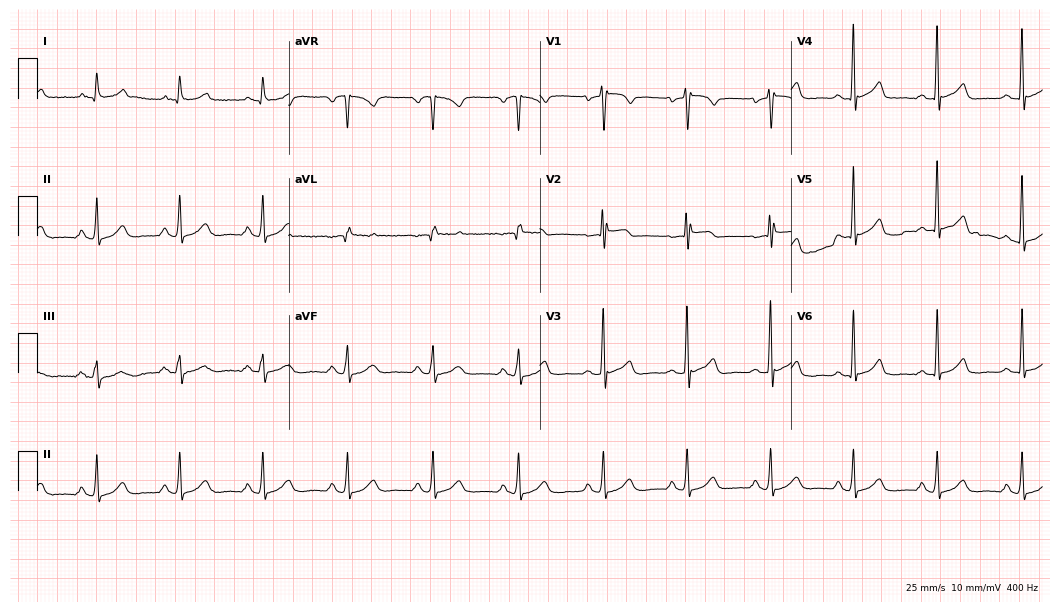
Resting 12-lead electrocardiogram. Patient: a 54-year-old man. Read as a normal ECG.